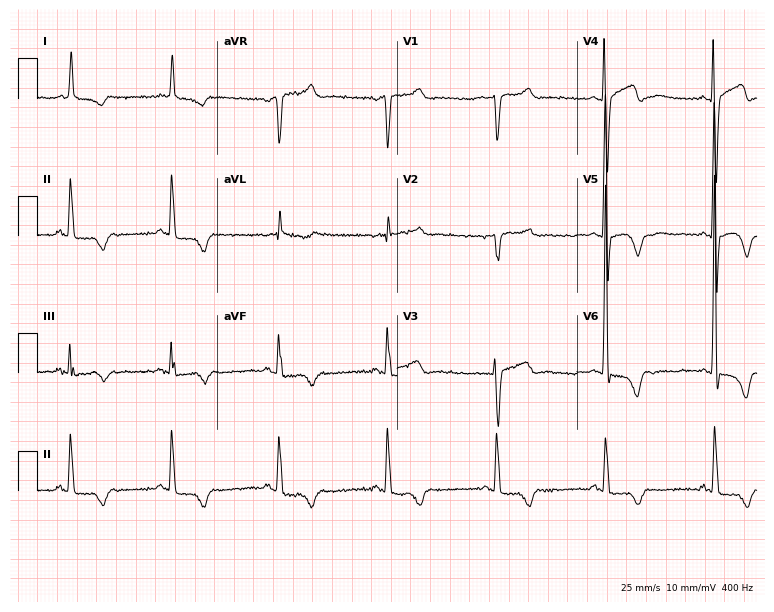
ECG — a 74-year-old male patient. Screened for six findings — first-degree AV block, right bundle branch block, left bundle branch block, sinus bradycardia, atrial fibrillation, sinus tachycardia — none is recorded. Findings outside these six are not listed.